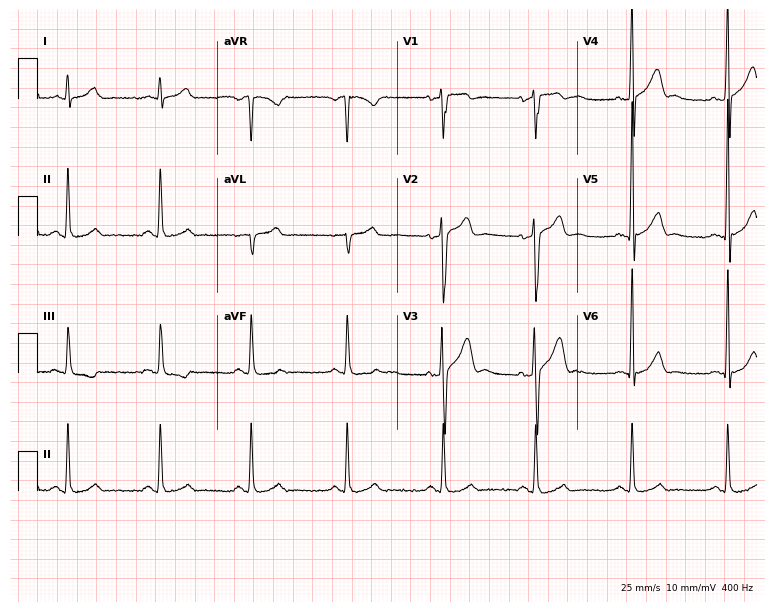
Electrocardiogram, a 39-year-old male. Overall reading on record: normal ECG.